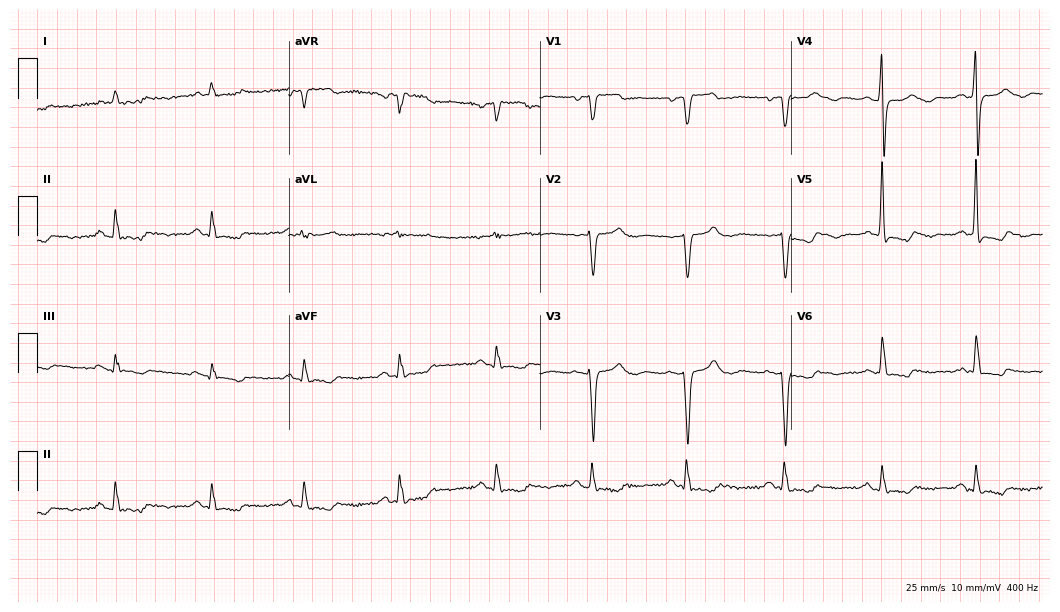
12-lead ECG from a woman, 73 years old. Screened for six findings — first-degree AV block, right bundle branch block (RBBB), left bundle branch block (LBBB), sinus bradycardia, atrial fibrillation (AF), sinus tachycardia — none is recorded.